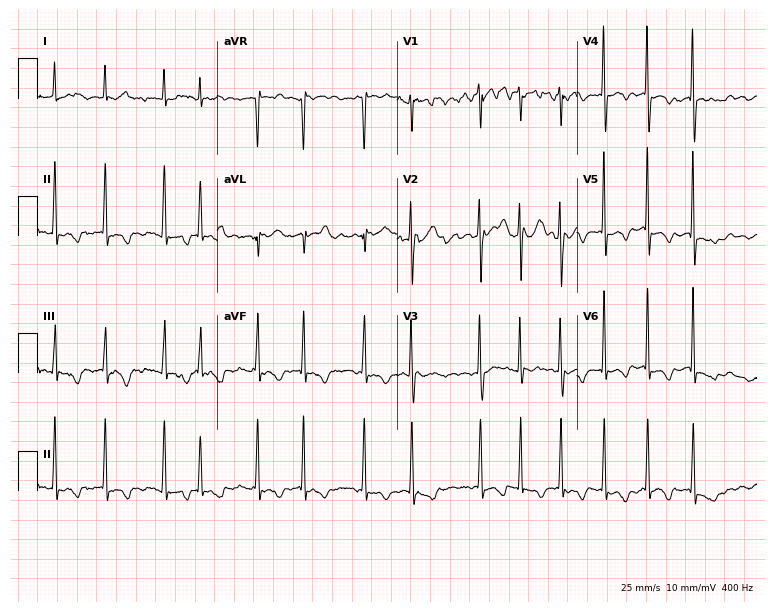
12-lead ECG from an 85-year-old female. Findings include atrial fibrillation.